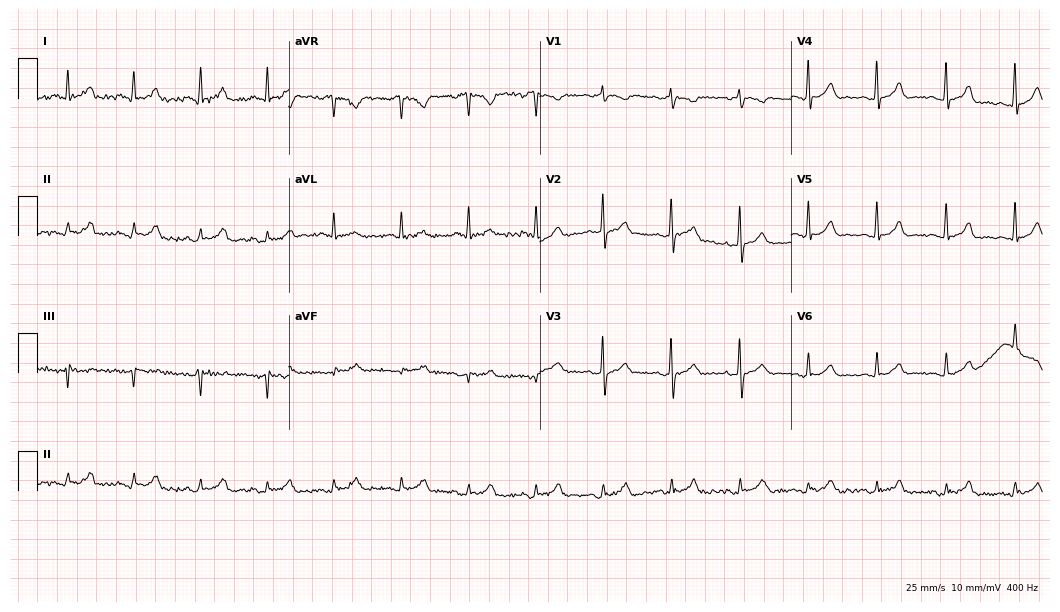
12-lead ECG from a 77-year-old female patient. Recorded interpretation: within normal limits.